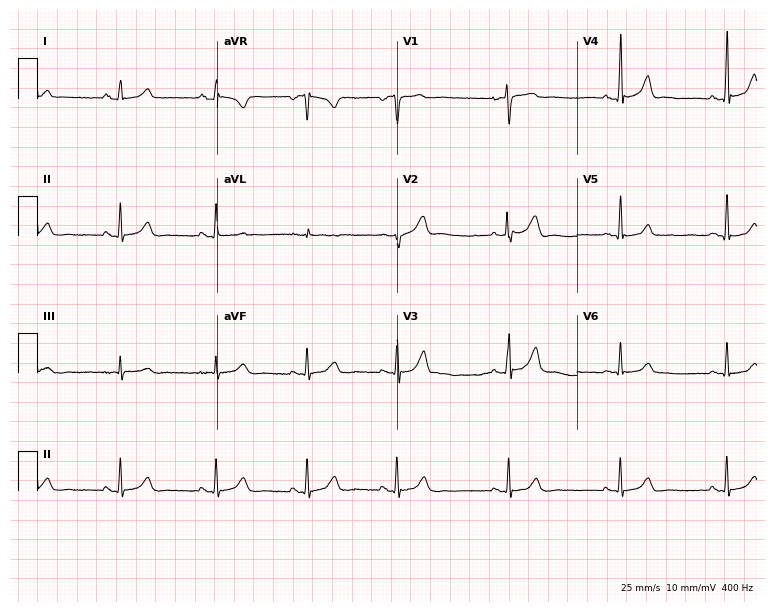
ECG — a 37-year-old female patient. Screened for six findings — first-degree AV block, right bundle branch block, left bundle branch block, sinus bradycardia, atrial fibrillation, sinus tachycardia — none is recorded.